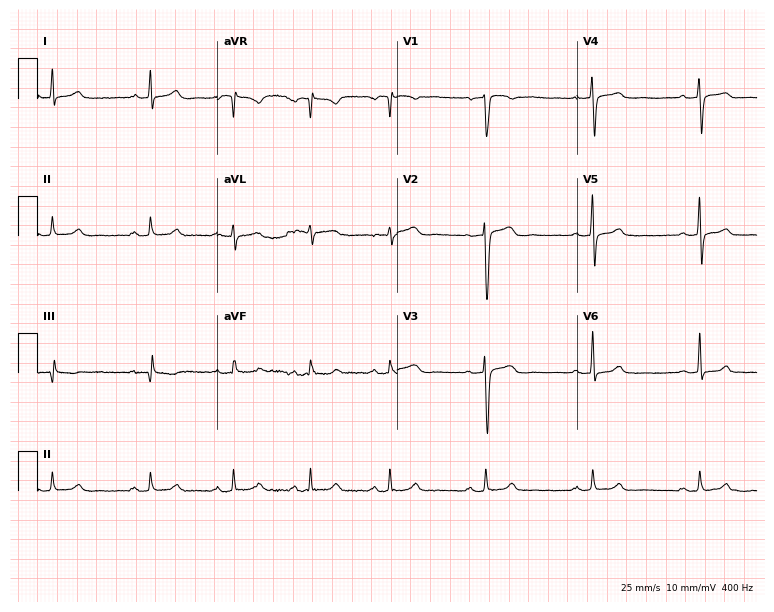
Standard 12-lead ECG recorded from a 47-year-old male patient. Read as a normal ECG.